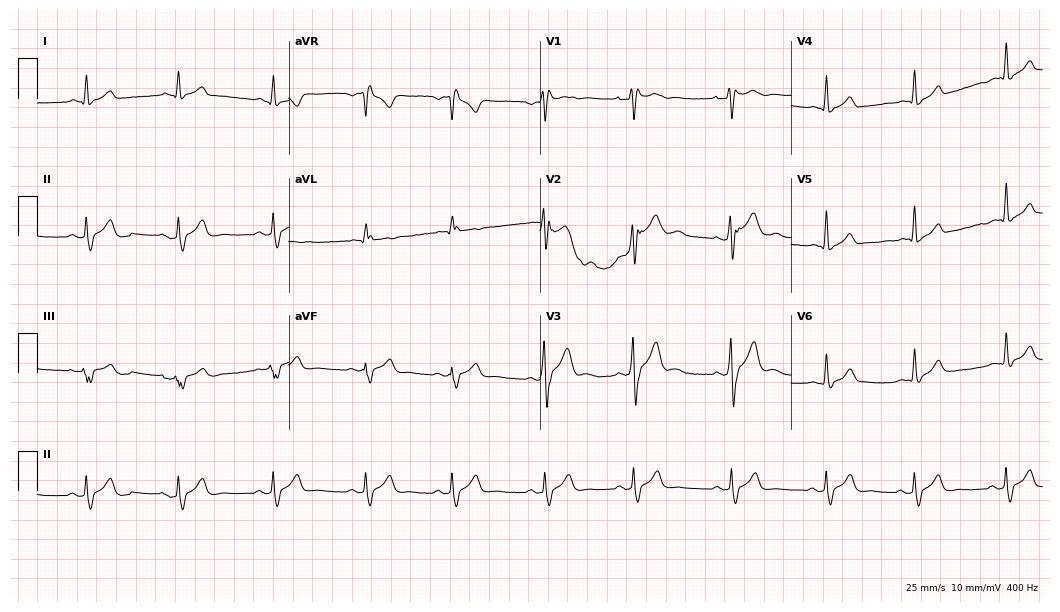
12-lead ECG from a male patient, 17 years old. No first-degree AV block, right bundle branch block, left bundle branch block, sinus bradycardia, atrial fibrillation or sinus tachycardia recorded for this tracing.